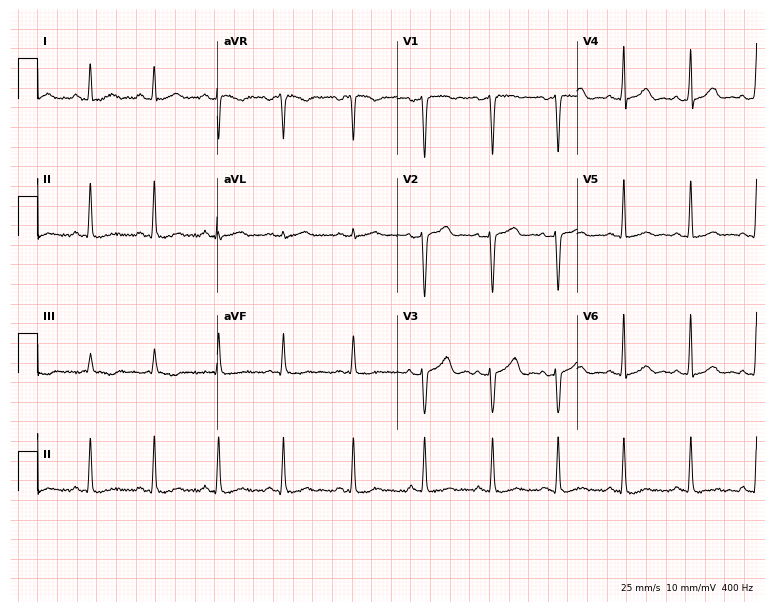
Standard 12-lead ECG recorded from a female patient, 37 years old (7.3-second recording at 400 Hz). None of these six findings is recorded: first-degree AV block, right bundle branch block, left bundle branch block, sinus bradycardia, atrial fibrillation, sinus tachycardia. Only these six findings were labelled.